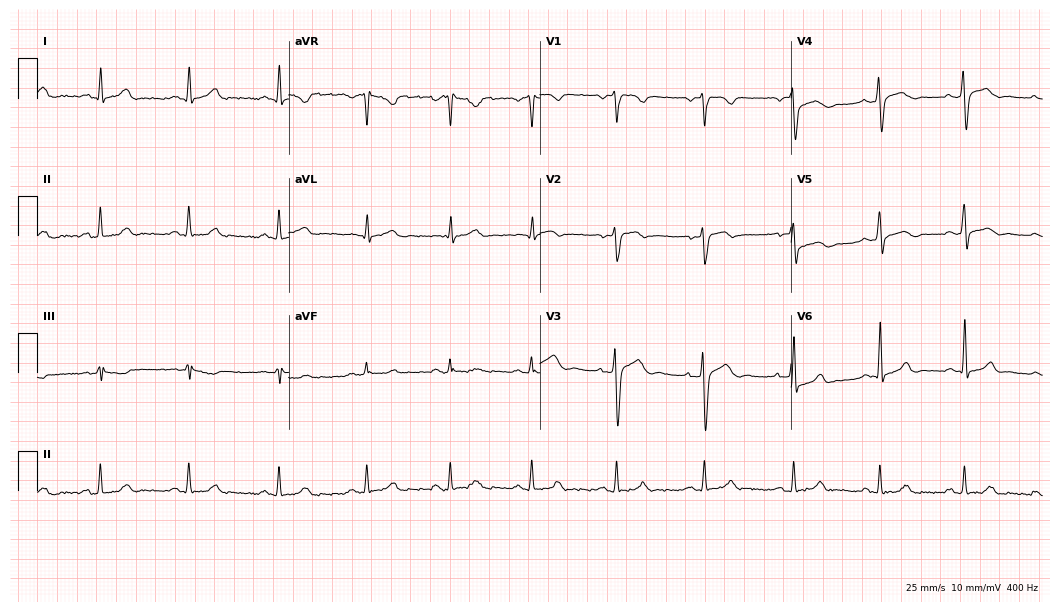
ECG (10.2-second recording at 400 Hz) — a 29-year-old man. Screened for six findings — first-degree AV block, right bundle branch block, left bundle branch block, sinus bradycardia, atrial fibrillation, sinus tachycardia — none is recorded. Findings outside these six are not listed.